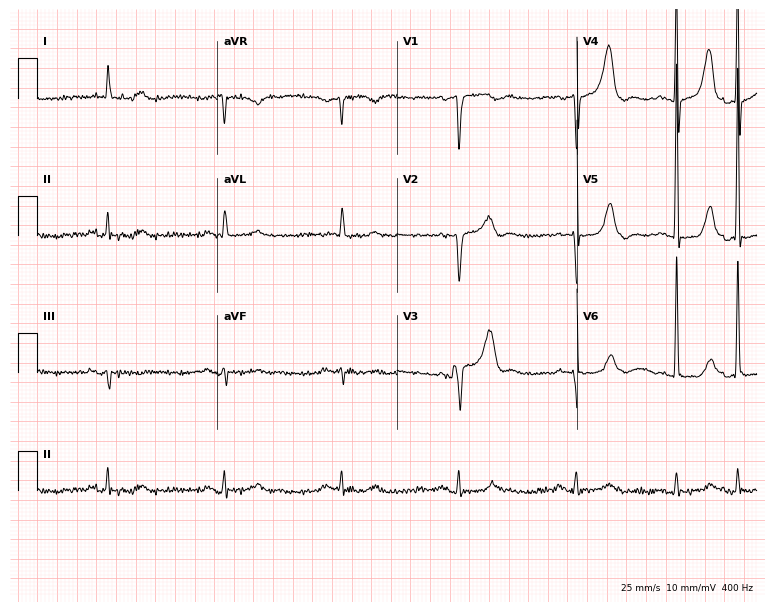
12-lead ECG from an 82-year-old man. No first-degree AV block, right bundle branch block (RBBB), left bundle branch block (LBBB), sinus bradycardia, atrial fibrillation (AF) or sinus tachycardia recorded for this tracing. Only these six findings were labelled.